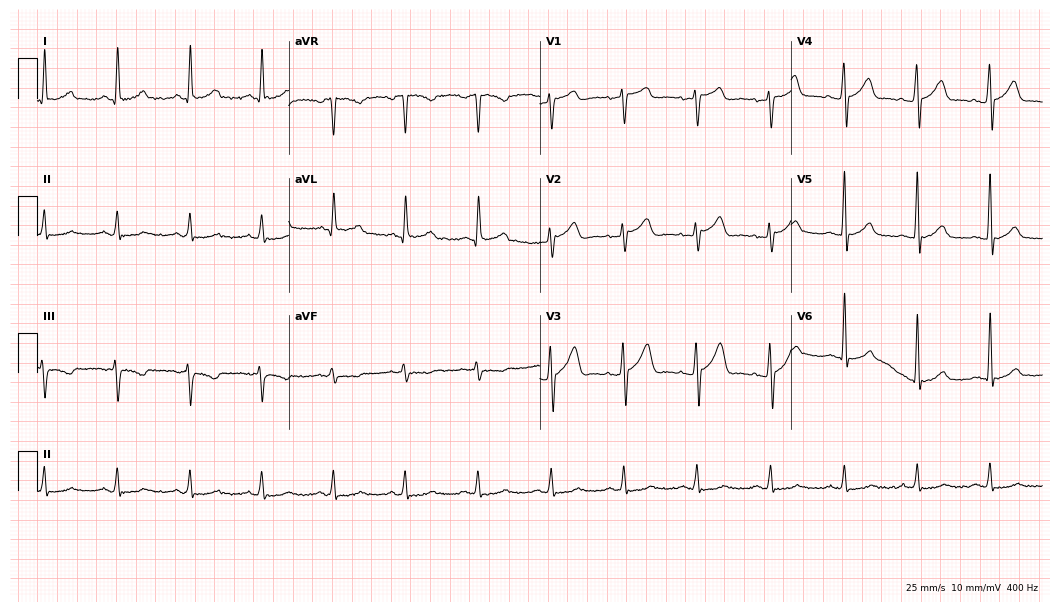
Standard 12-lead ECG recorded from a 39-year-old male (10.2-second recording at 400 Hz). None of these six findings is recorded: first-degree AV block, right bundle branch block (RBBB), left bundle branch block (LBBB), sinus bradycardia, atrial fibrillation (AF), sinus tachycardia. Findings outside these six are not listed.